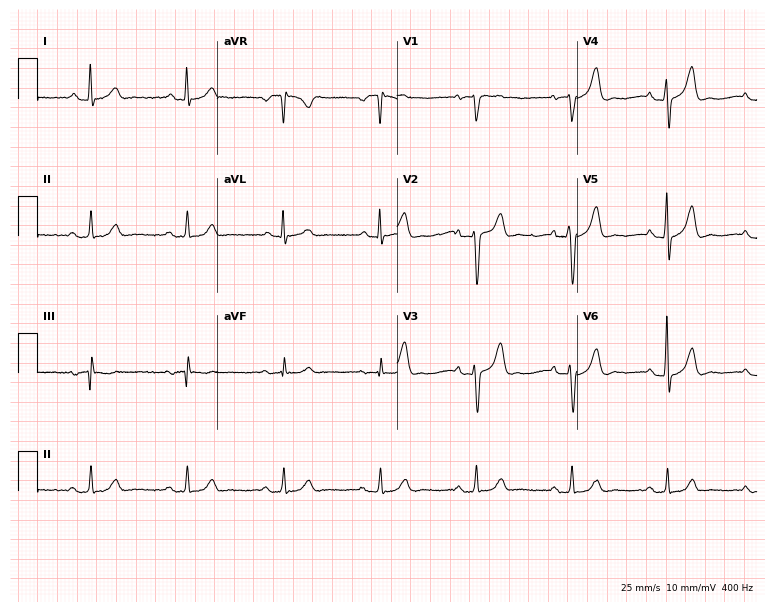
Electrocardiogram (7.3-second recording at 400 Hz), a 71-year-old man. Overall reading on record: normal ECG.